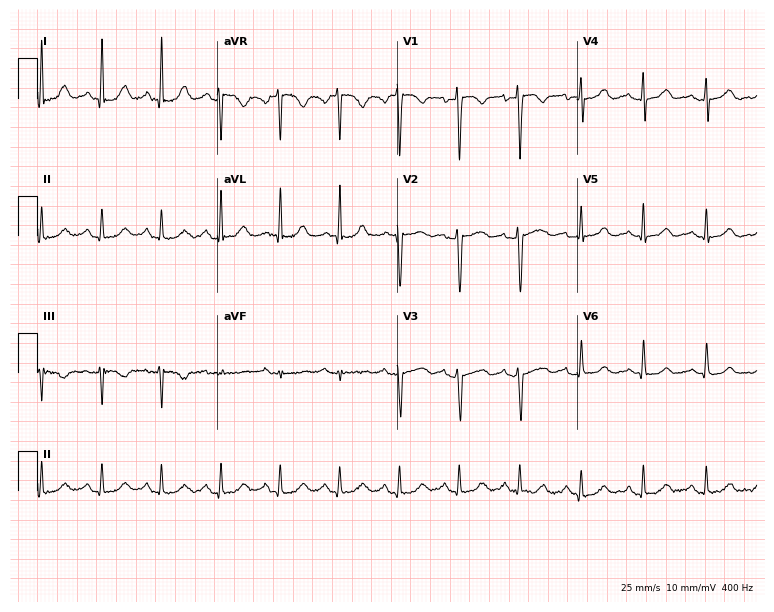
ECG — a woman, 34 years old. Labelled as a normal ECG.